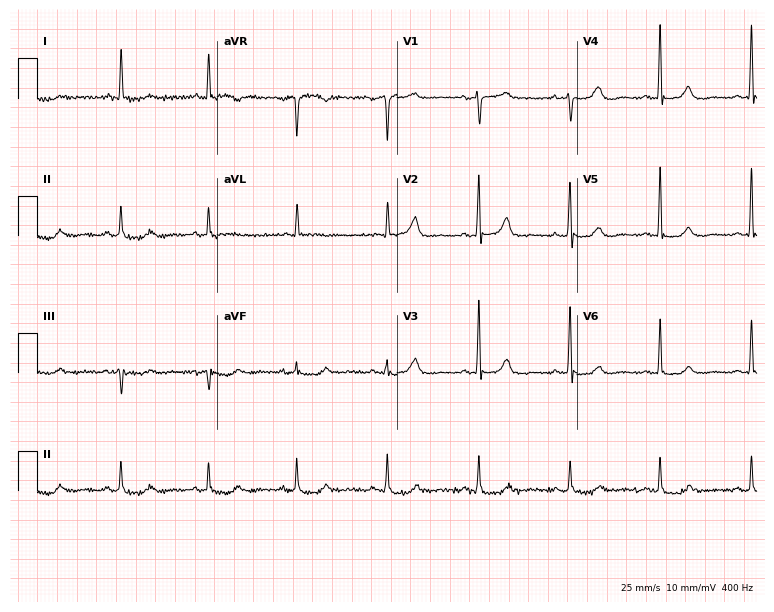
Standard 12-lead ECG recorded from a 68-year-old female. None of these six findings is recorded: first-degree AV block, right bundle branch block (RBBB), left bundle branch block (LBBB), sinus bradycardia, atrial fibrillation (AF), sinus tachycardia.